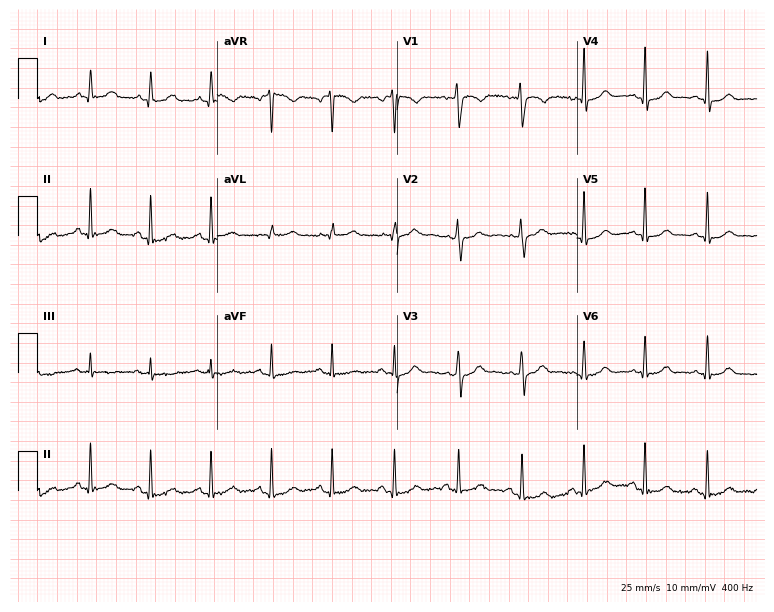
Electrocardiogram, a woman, 31 years old. Of the six screened findings (first-degree AV block, right bundle branch block, left bundle branch block, sinus bradycardia, atrial fibrillation, sinus tachycardia), none is recorded. Other findings, if any, are not listed.